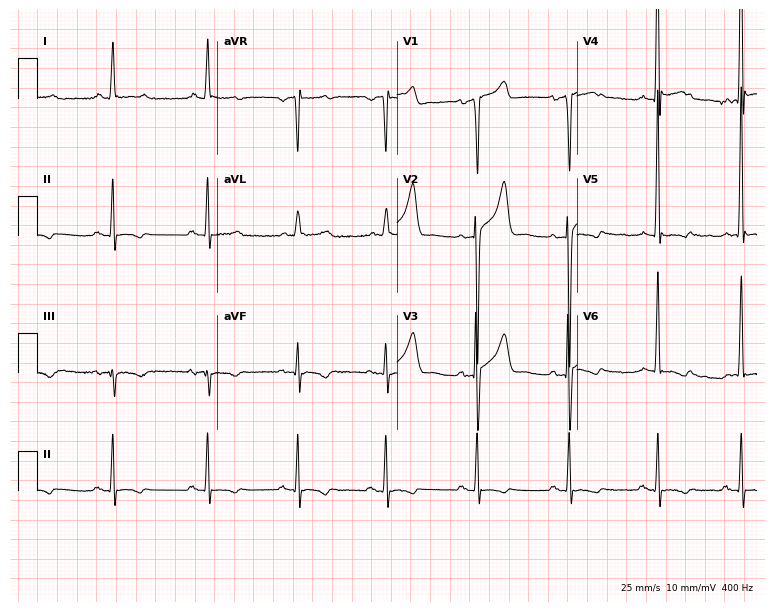
Resting 12-lead electrocardiogram (7.3-second recording at 400 Hz). Patient: a 36-year-old man. None of these six findings is recorded: first-degree AV block, right bundle branch block, left bundle branch block, sinus bradycardia, atrial fibrillation, sinus tachycardia. Findings outside these six are not listed.